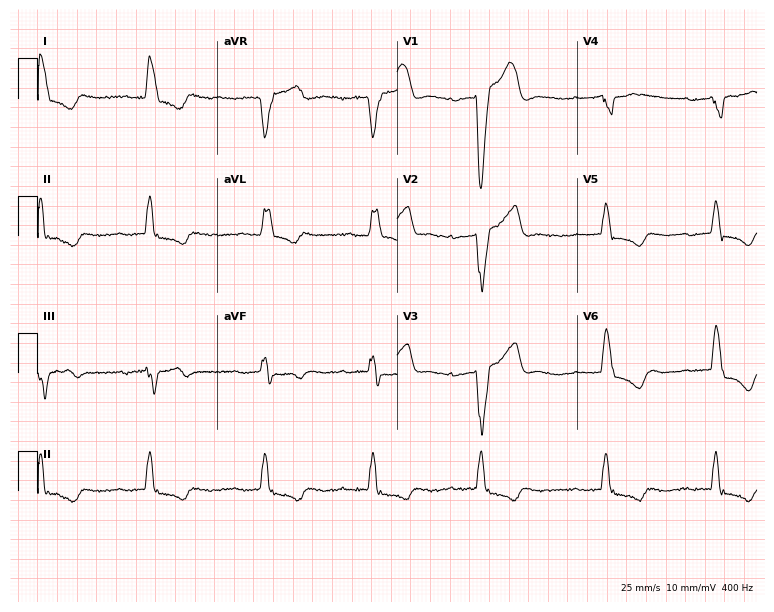
ECG — a man, 78 years old. Findings include first-degree AV block, left bundle branch block (LBBB).